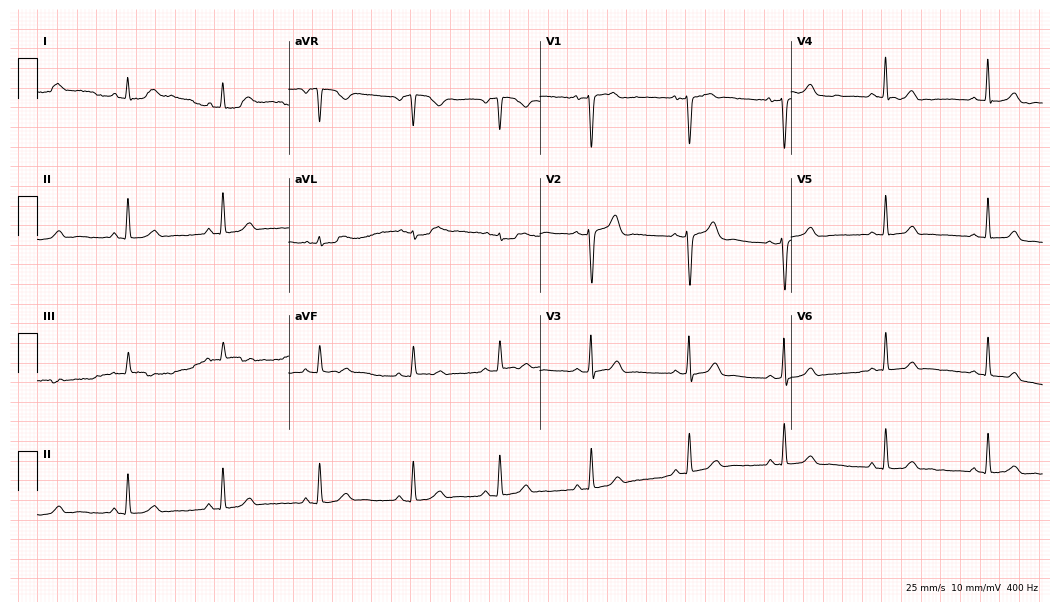
Standard 12-lead ECG recorded from a female patient, 41 years old. Read as a normal ECG.